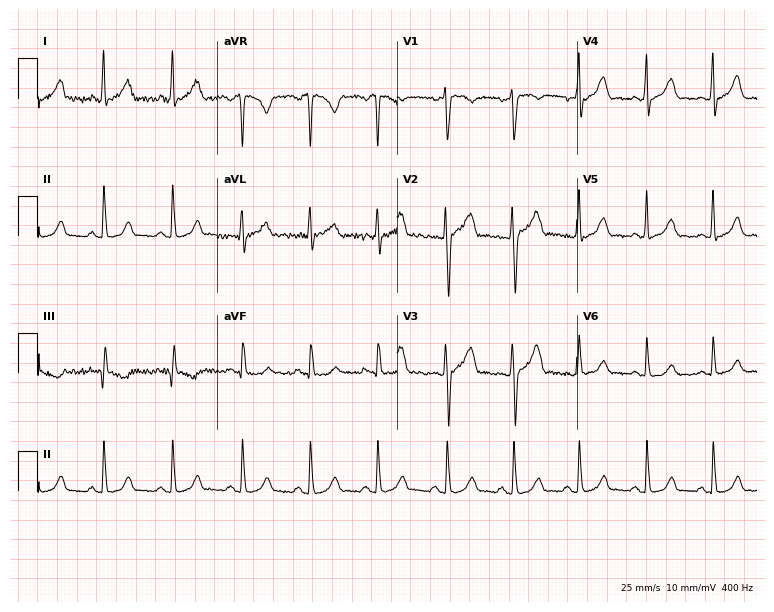
12-lead ECG (7.3-second recording at 400 Hz) from a woman, 31 years old. Labelled as a normal ECG.